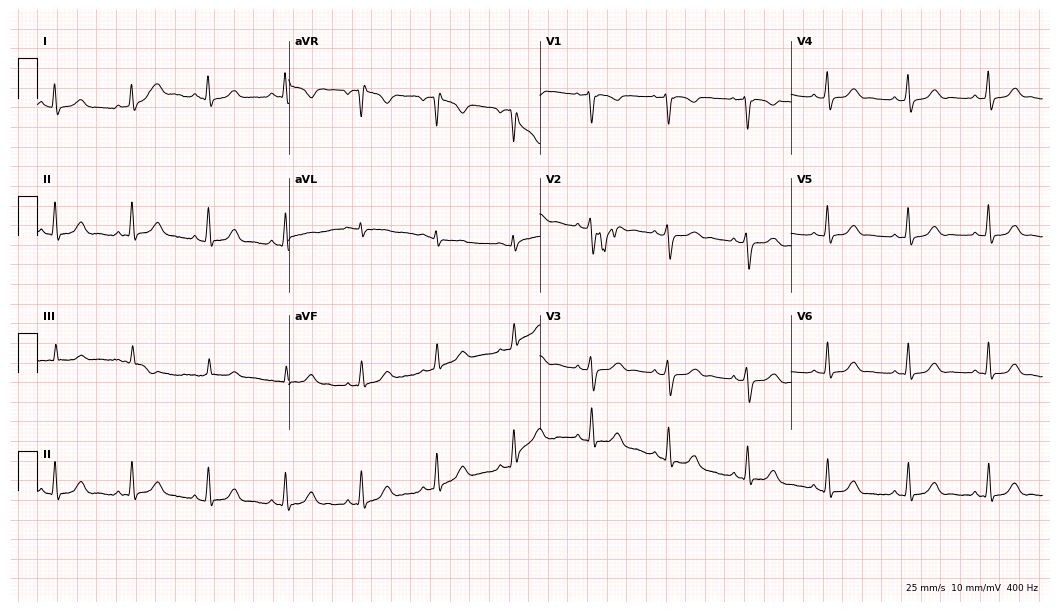
Electrocardiogram (10.2-second recording at 400 Hz), a 37-year-old woman. Of the six screened findings (first-degree AV block, right bundle branch block (RBBB), left bundle branch block (LBBB), sinus bradycardia, atrial fibrillation (AF), sinus tachycardia), none is recorded. Only these six findings were labelled.